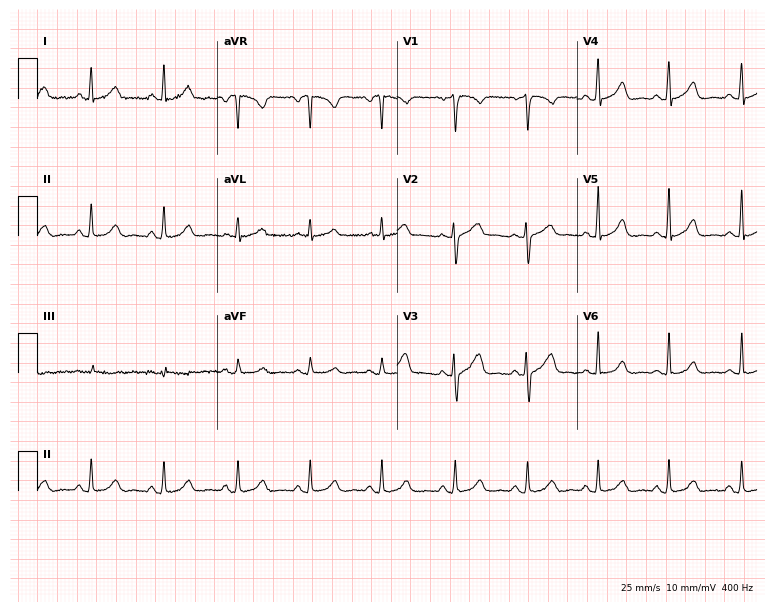
Standard 12-lead ECG recorded from a woman, 39 years old. Read as a normal ECG.